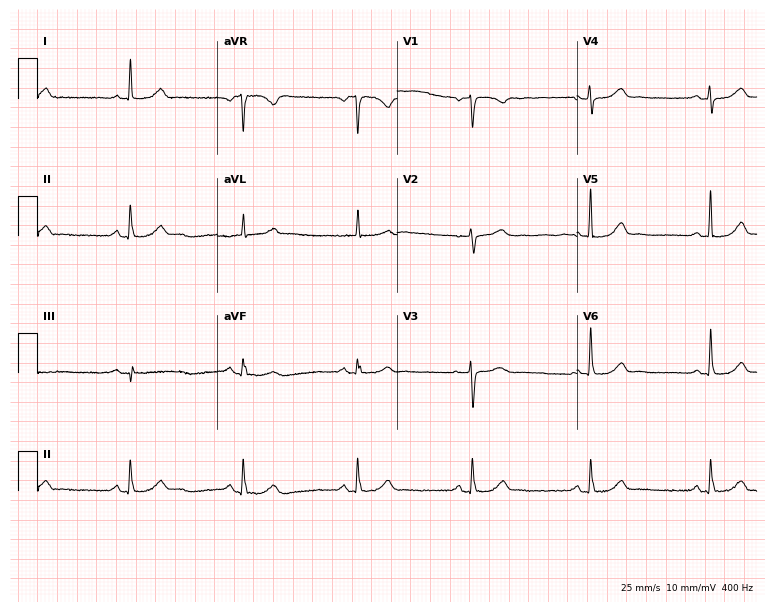
12-lead ECG (7.3-second recording at 400 Hz) from a female, 80 years old. Labelled as a normal ECG.